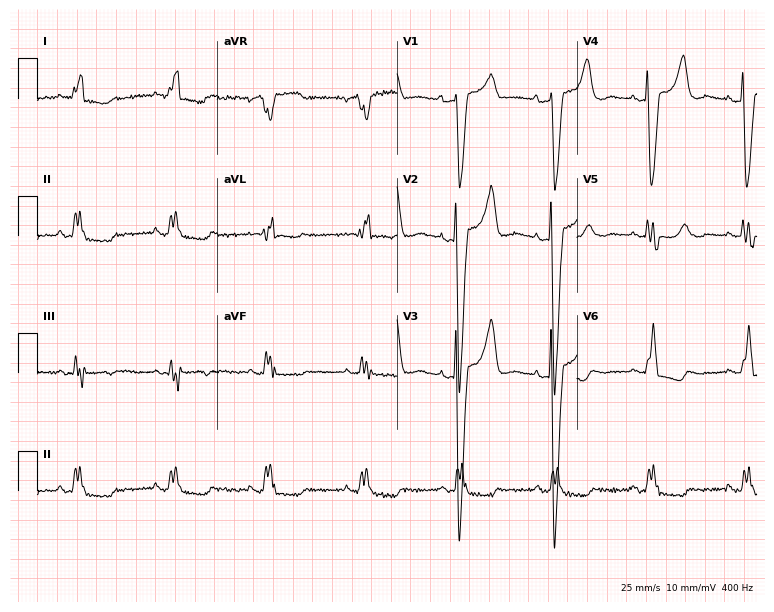
Standard 12-lead ECG recorded from a 67-year-old female. The tracing shows left bundle branch block (LBBB).